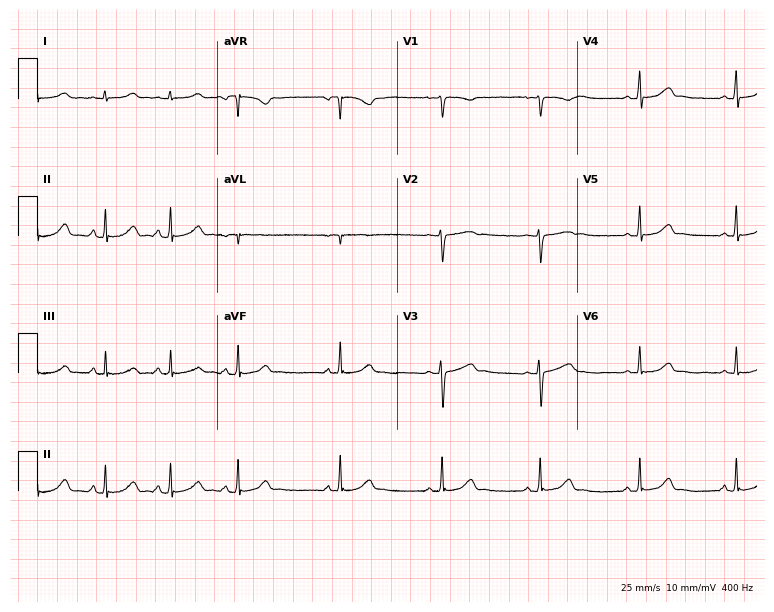
Electrocardiogram, a 26-year-old woman. Overall reading on record: normal ECG.